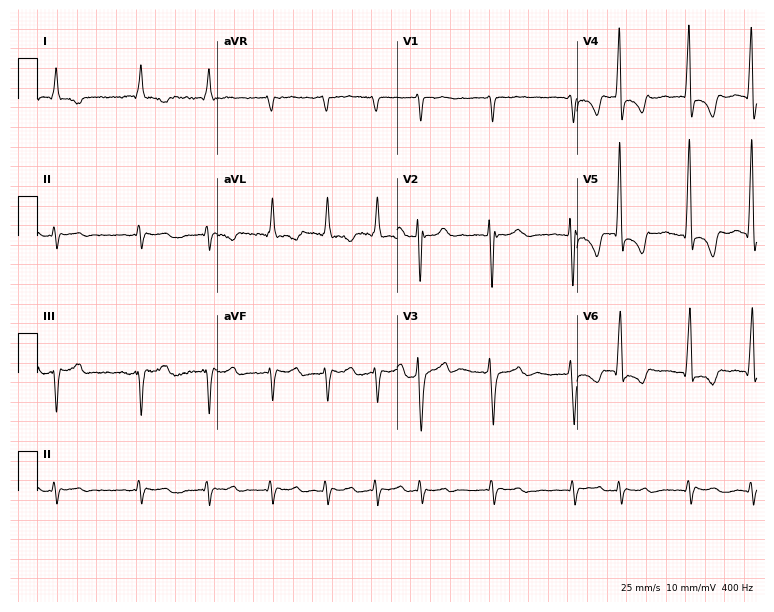
12-lead ECG (7.3-second recording at 400 Hz) from a male, 65 years old. Findings include atrial fibrillation.